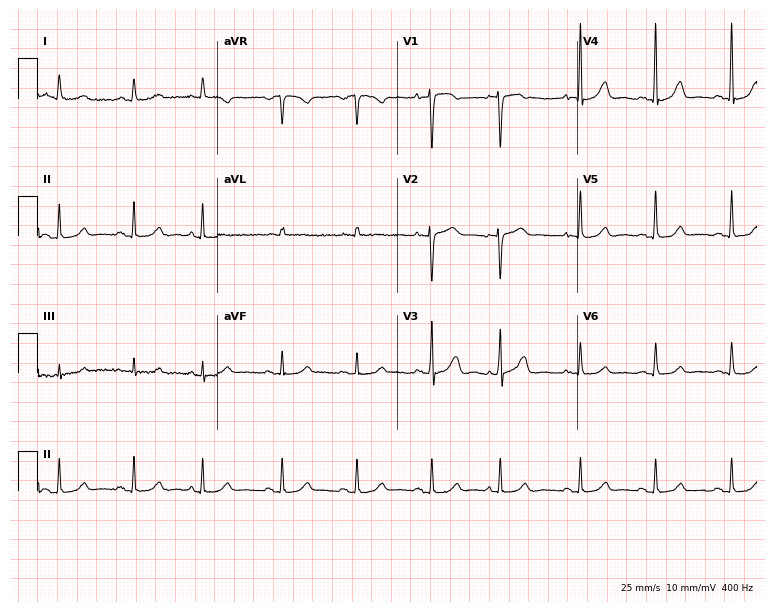
Electrocardiogram, a female patient, 67 years old. Overall reading on record: normal ECG.